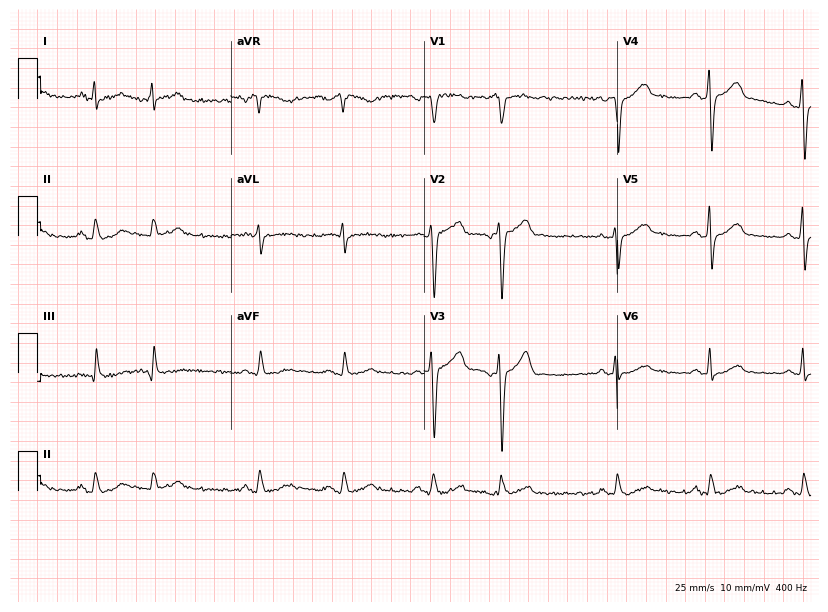
Standard 12-lead ECG recorded from a female, 49 years old (7.9-second recording at 400 Hz). None of these six findings is recorded: first-degree AV block, right bundle branch block, left bundle branch block, sinus bradycardia, atrial fibrillation, sinus tachycardia. Other findings, if any, are not listed.